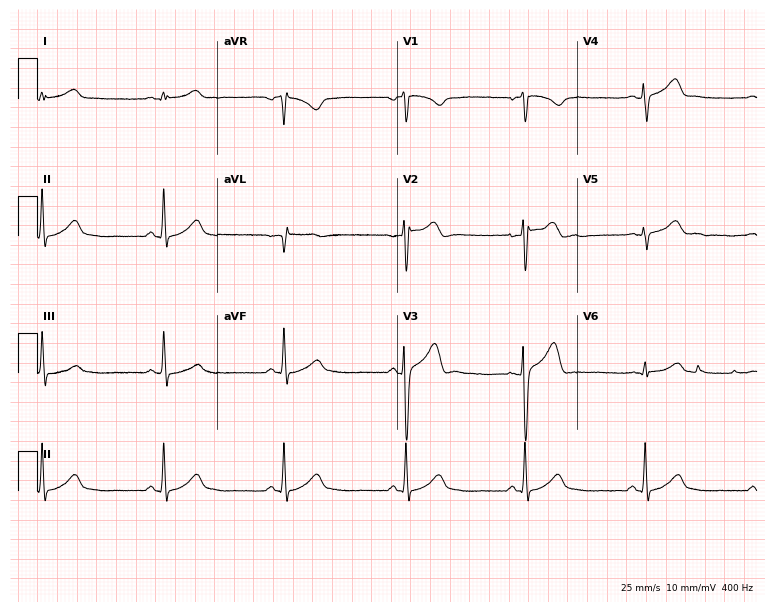
Standard 12-lead ECG recorded from a male patient, 24 years old (7.3-second recording at 400 Hz). The tracing shows sinus bradycardia (a sinus rate of 50 beats per minute or less).